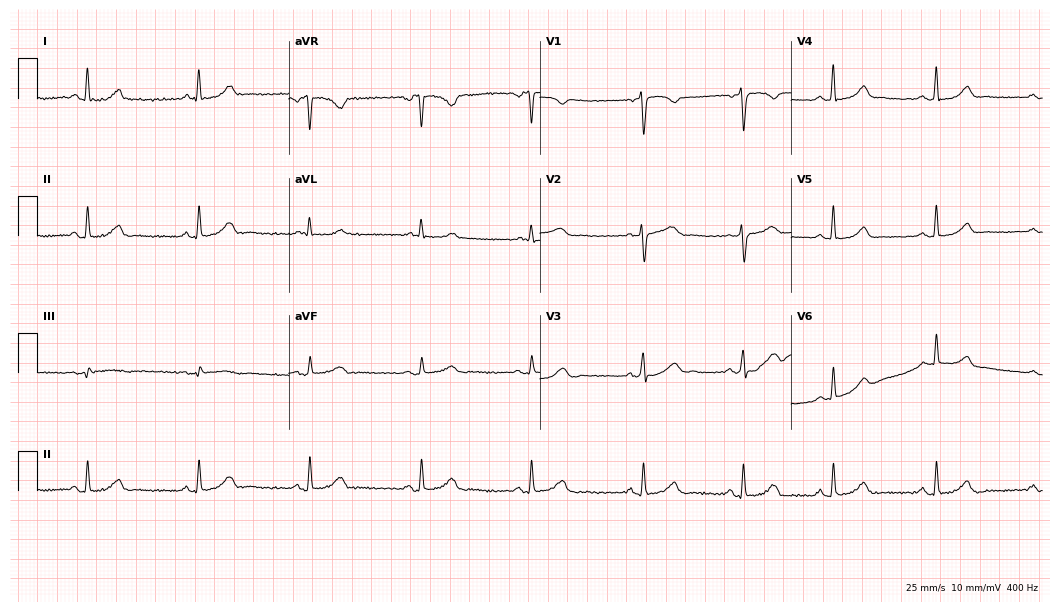
12-lead ECG from a female patient, 61 years old. Recorded interpretation: within normal limits.